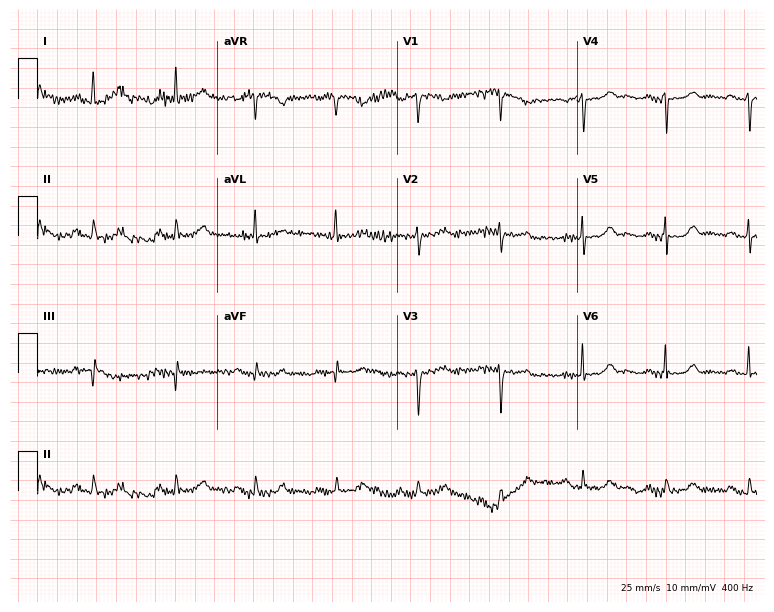
Resting 12-lead electrocardiogram. Patient: a 79-year-old woman. None of these six findings is recorded: first-degree AV block, right bundle branch block, left bundle branch block, sinus bradycardia, atrial fibrillation, sinus tachycardia. Only these six findings were labelled.